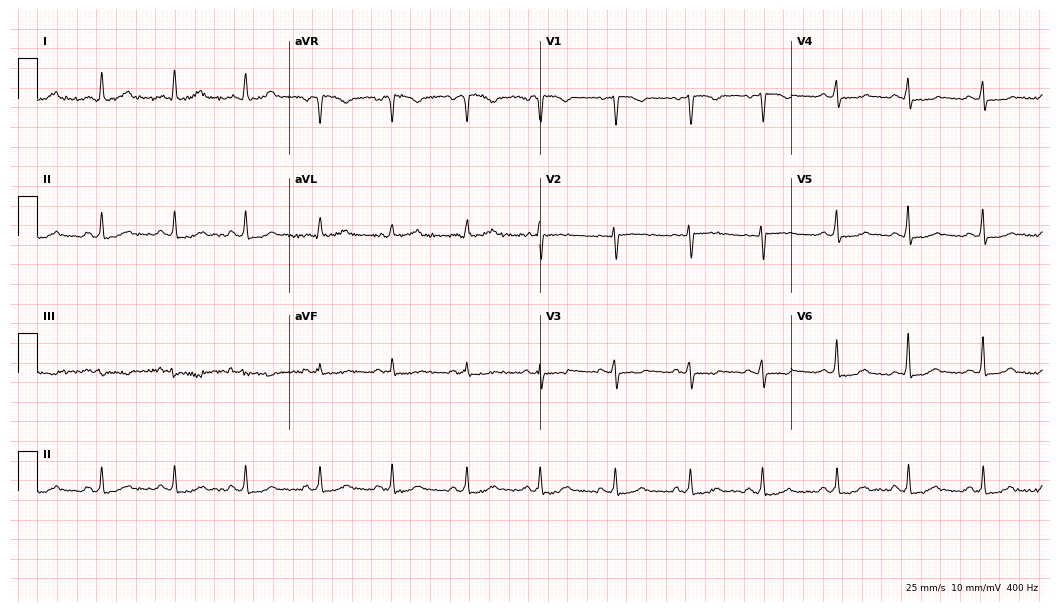
Electrocardiogram (10.2-second recording at 400 Hz), a 43-year-old female patient. Of the six screened findings (first-degree AV block, right bundle branch block (RBBB), left bundle branch block (LBBB), sinus bradycardia, atrial fibrillation (AF), sinus tachycardia), none is recorded. Other findings, if any, are not listed.